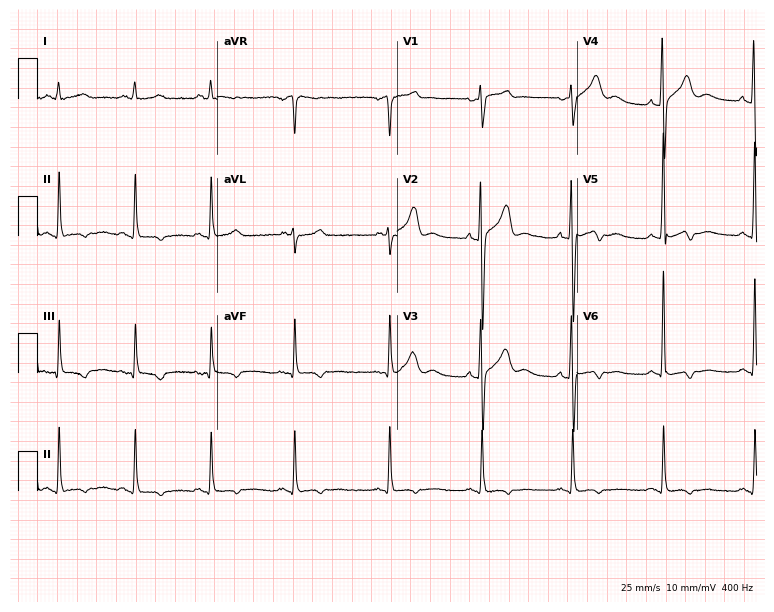
ECG — an 80-year-old male. Screened for six findings — first-degree AV block, right bundle branch block, left bundle branch block, sinus bradycardia, atrial fibrillation, sinus tachycardia — none is recorded. Findings outside these six are not listed.